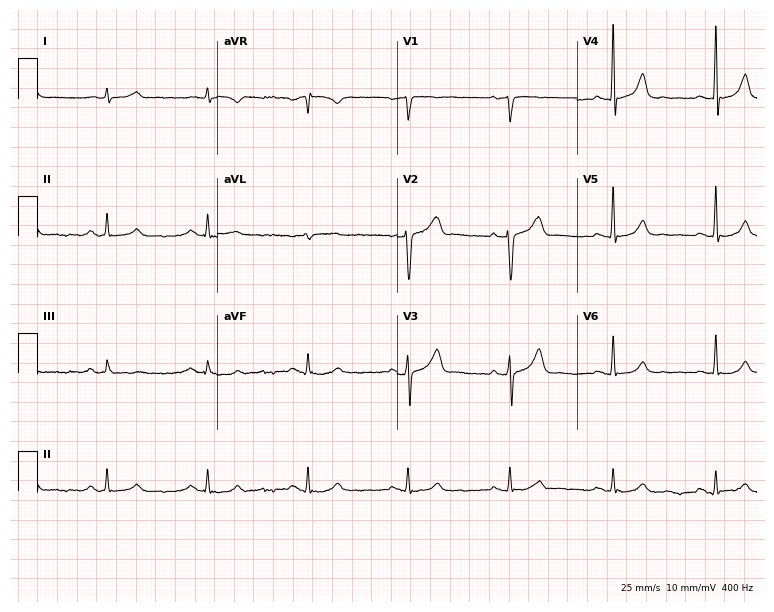
Resting 12-lead electrocardiogram. Patient: a male, 66 years old. Read as a normal ECG.